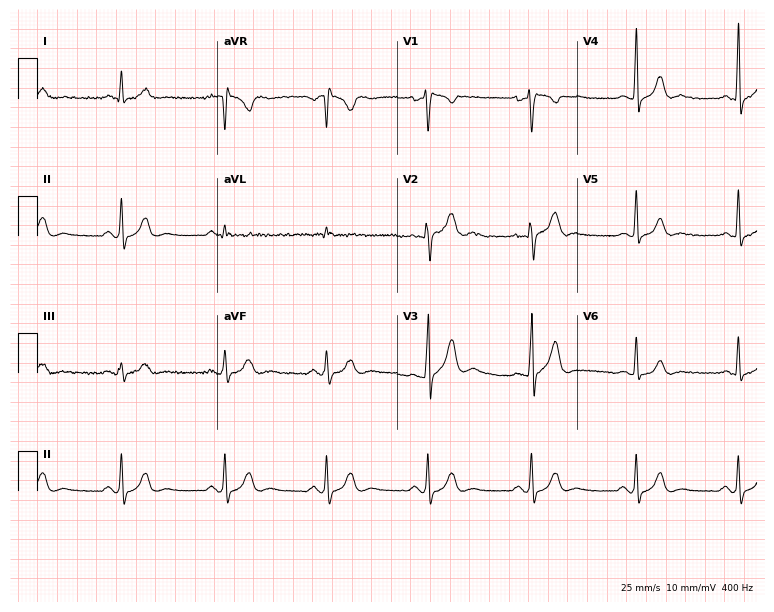
Standard 12-lead ECG recorded from a 40-year-old male patient (7.3-second recording at 400 Hz). None of these six findings is recorded: first-degree AV block, right bundle branch block (RBBB), left bundle branch block (LBBB), sinus bradycardia, atrial fibrillation (AF), sinus tachycardia.